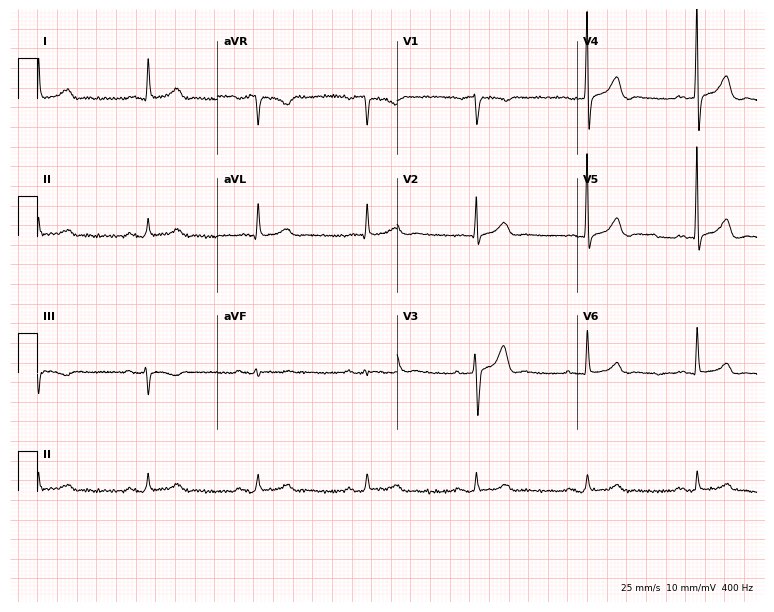
12-lead ECG from a 79-year-old male. Recorded interpretation: within normal limits.